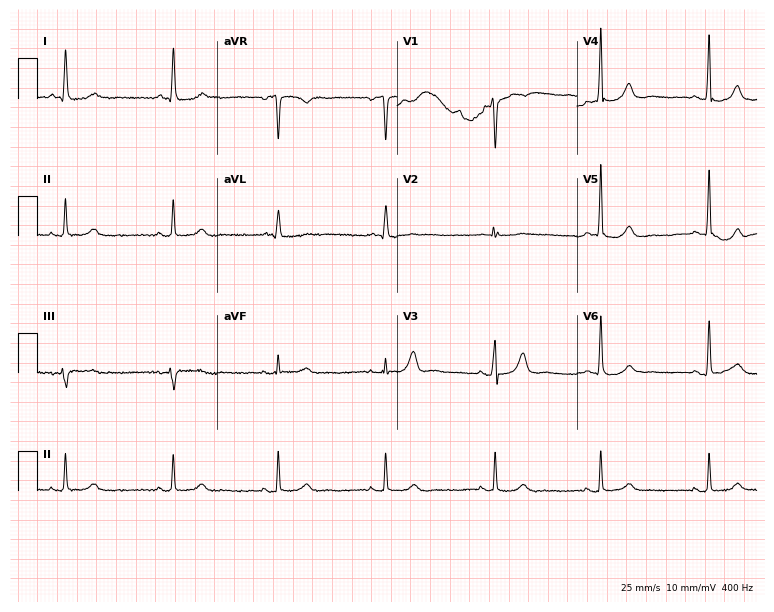
Standard 12-lead ECG recorded from a man, 80 years old. None of these six findings is recorded: first-degree AV block, right bundle branch block, left bundle branch block, sinus bradycardia, atrial fibrillation, sinus tachycardia.